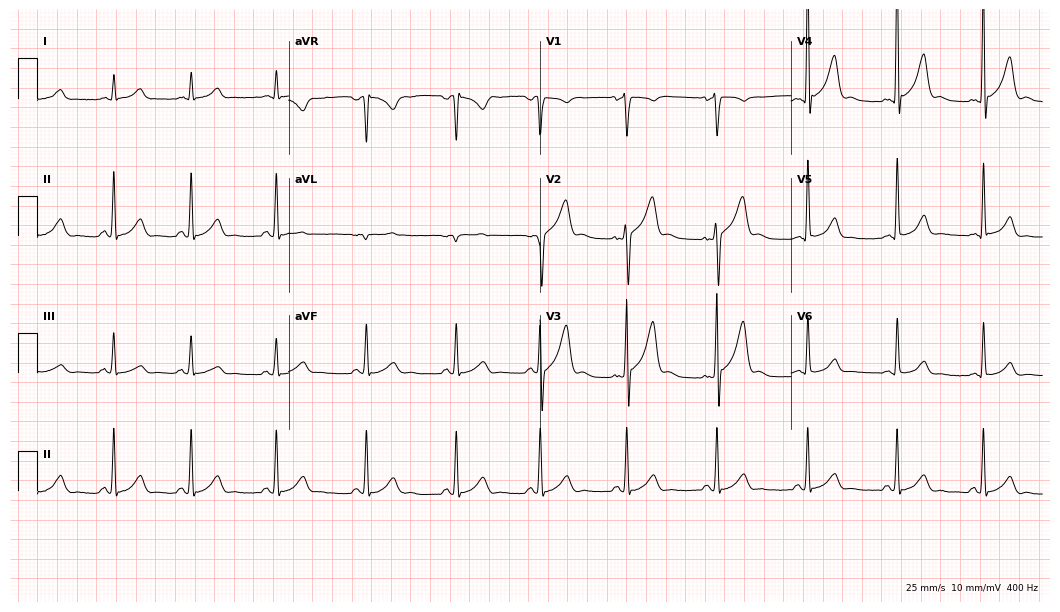
Standard 12-lead ECG recorded from a 48-year-old man (10.2-second recording at 400 Hz). None of these six findings is recorded: first-degree AV block, right bundle branch block, left bundle branch block, sinus bradycardia, atrial fibrillation, sinus tachycardia.